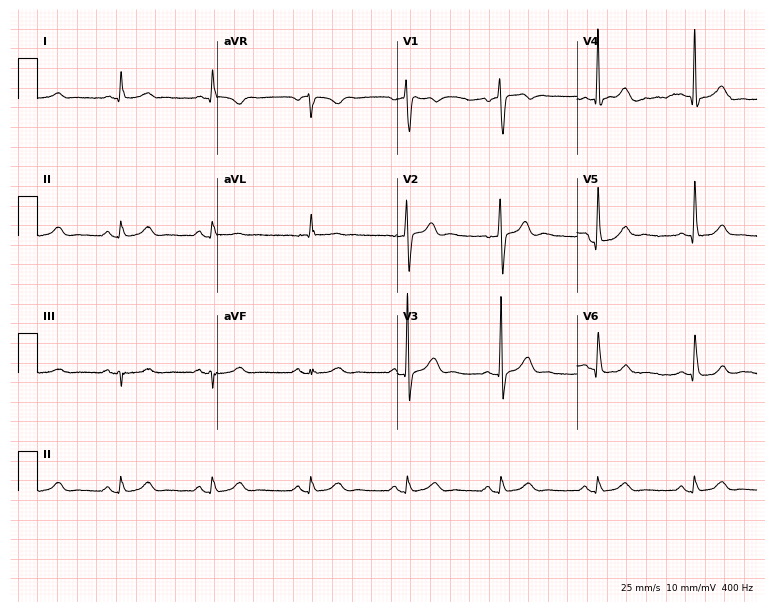
12-lead ECG from a 47-year-old male patient. Recorded interpretation: within normal limits.